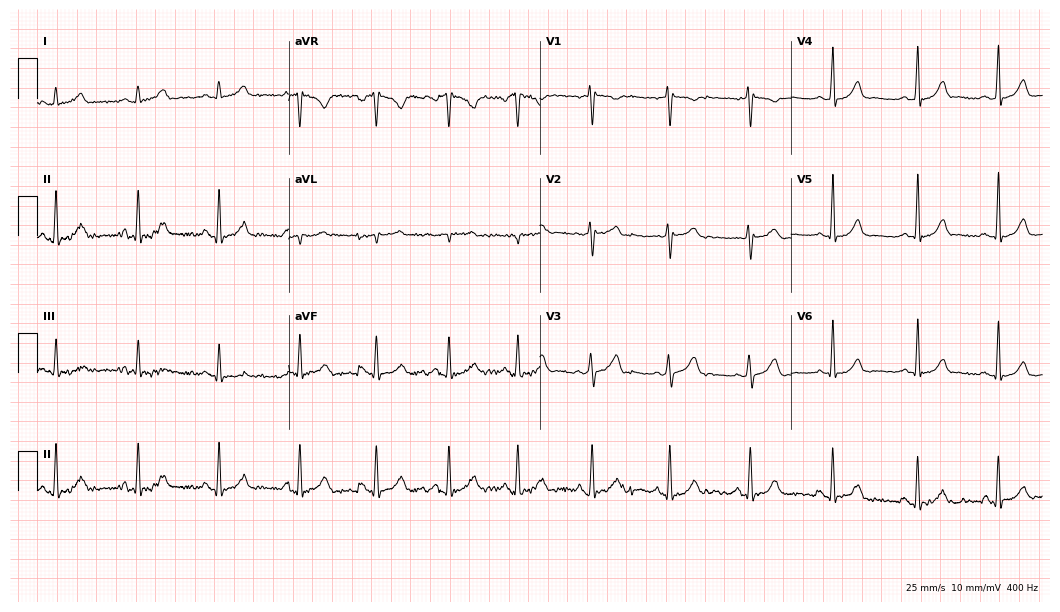
Resting 12-lead electrocardiogram. Patient: a 30-year-old female. Read as a normal ECG.